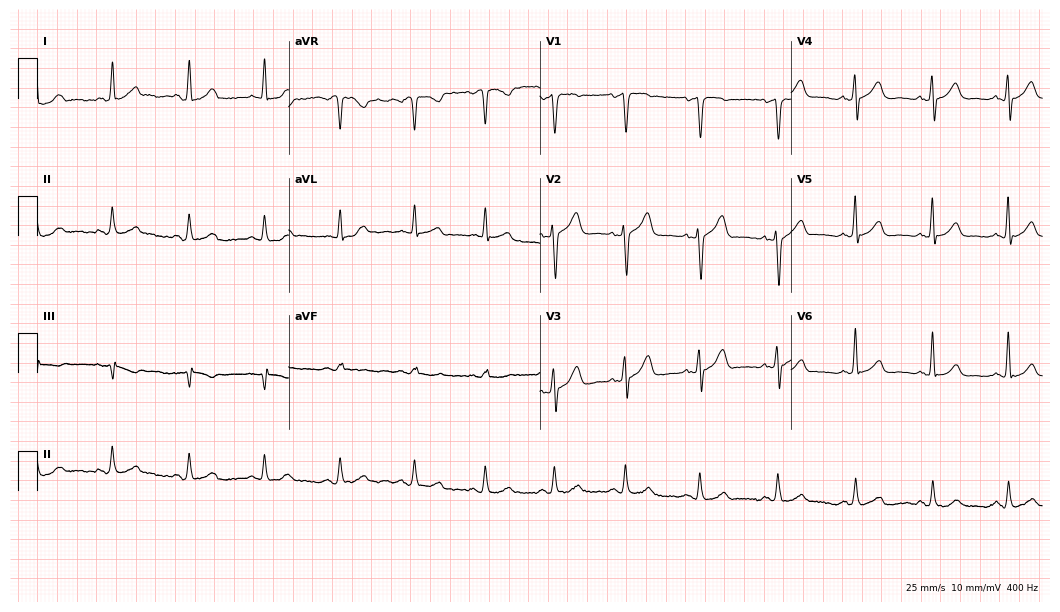
ECG (10.2-second recording at 400 Hz) — a 57-year-old man. Labelled as a normal ECG.